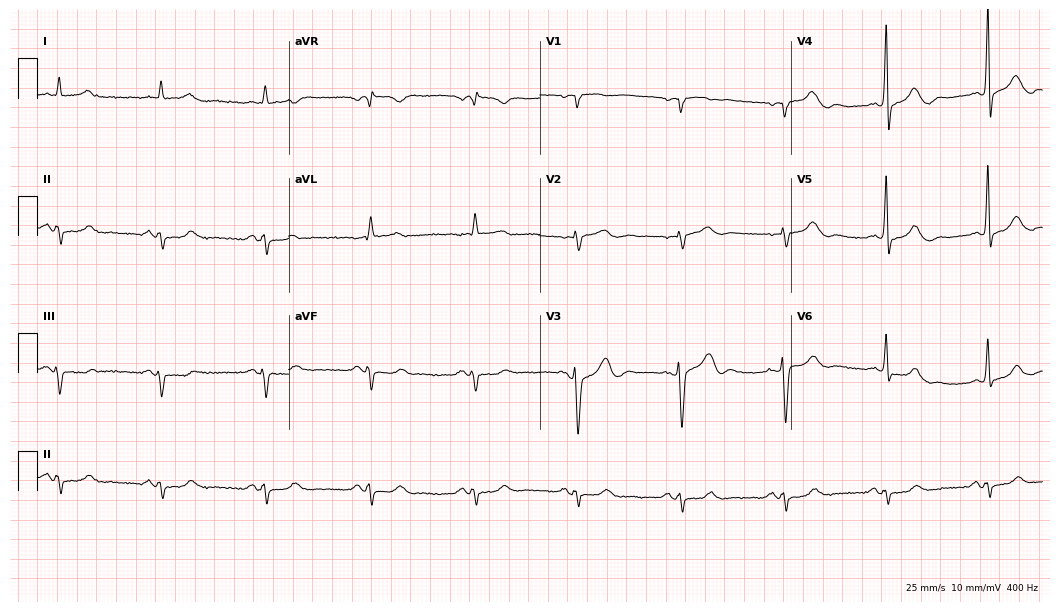
12-lead ECG from an 85-year-old male (10.2-second recording at 400 Hz). No first-degree AV block, right bundle branch block, left bundle branch block, sinus bradycardia, atrial fibrillation or sinus tachycardia recorded for this tracing. Other findings, if any, are not listed.